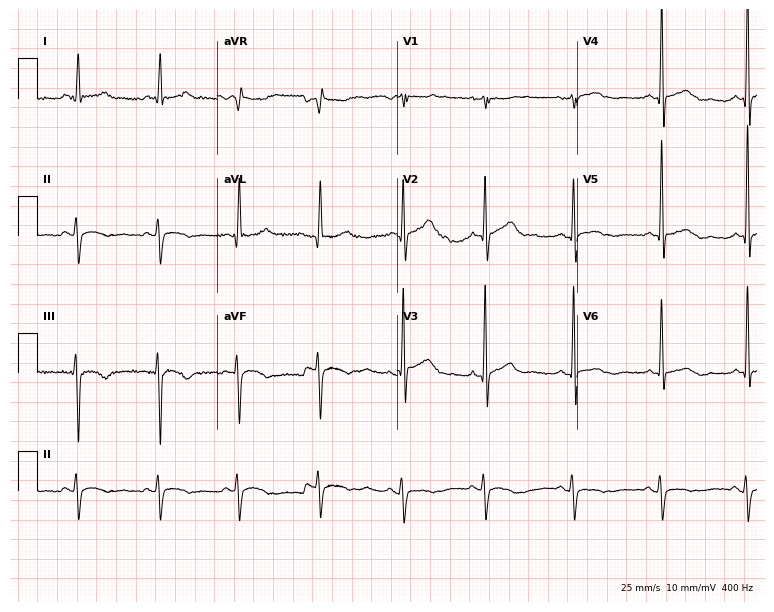
ECG (7.3-second recording at 400 Hz) — a 78-year-old male. Screened for six findings — first-degree AV block, right bundle branch block, left bundle branch block, sinus bradycardia, atrial fibrillation, sinus tachycardia — none is recorded. Only these six findings were labelled.